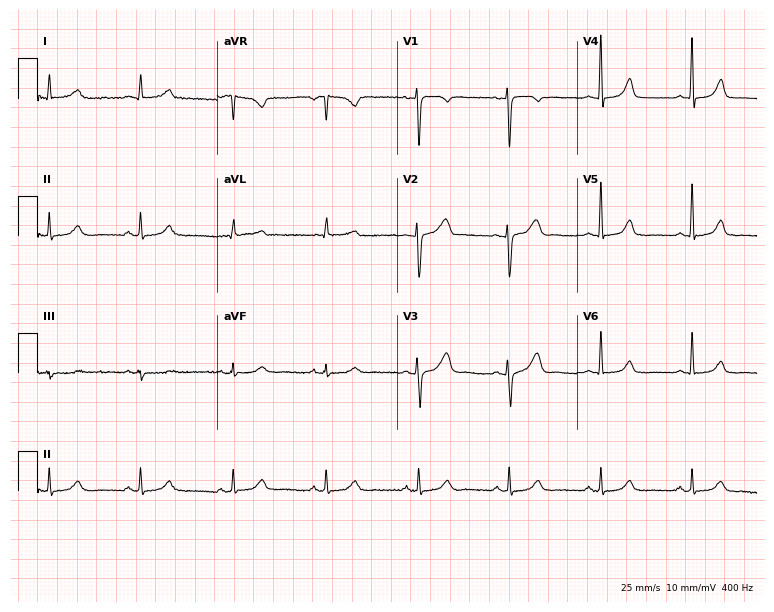
Standard 12-lead ECG recorded from a woman, 53 years old (7.3-second recording at 400 Hz). None of these six findings is recorded: first-degree AV block, right bundle branch block, left bundle branch block, sinus bradycardia, atrial fibrillation, sinus tachycardia.